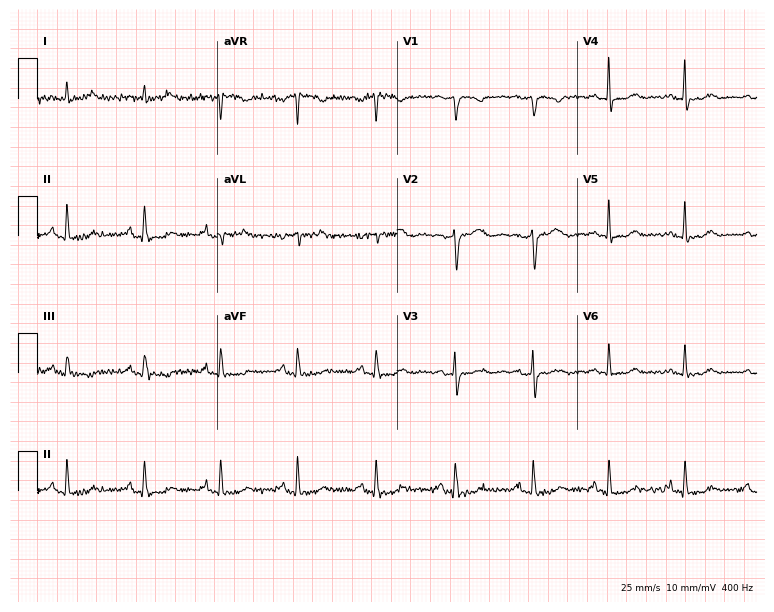
12-lead ECG from a 64-year-old female. Screened for six findings — first-degree AV block, right bundle branch block, left bundle branch block, sinus bradycardia, atrial fibrillation, sinus tachycardia — none is recorded. Only these six findings were labelled.